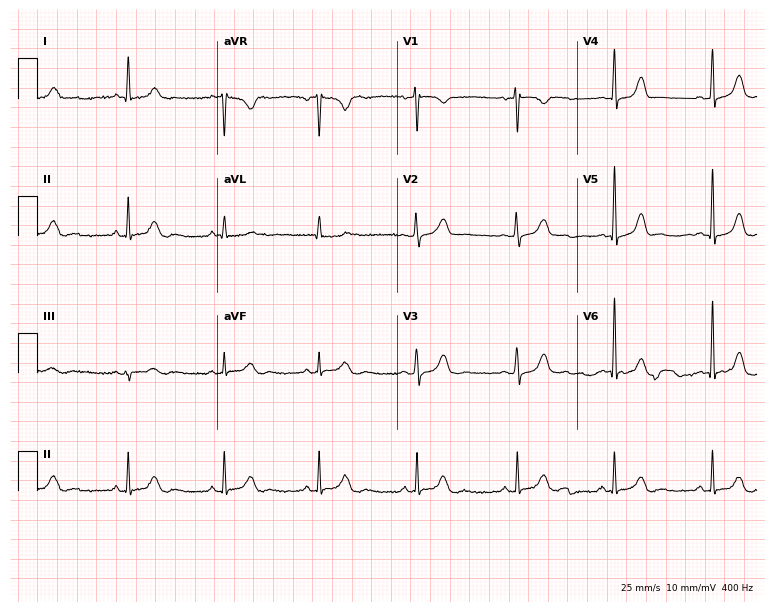
Resting 12-lead electrocardiogram. Patient: a female, 59 years old. None of these six findings is recorded: first-degree AV block, right bundle branch block, left bundle branch block, sinus bradycardia, atrial fibrillation, sinus tachycardia. Only these six findings were labelled.